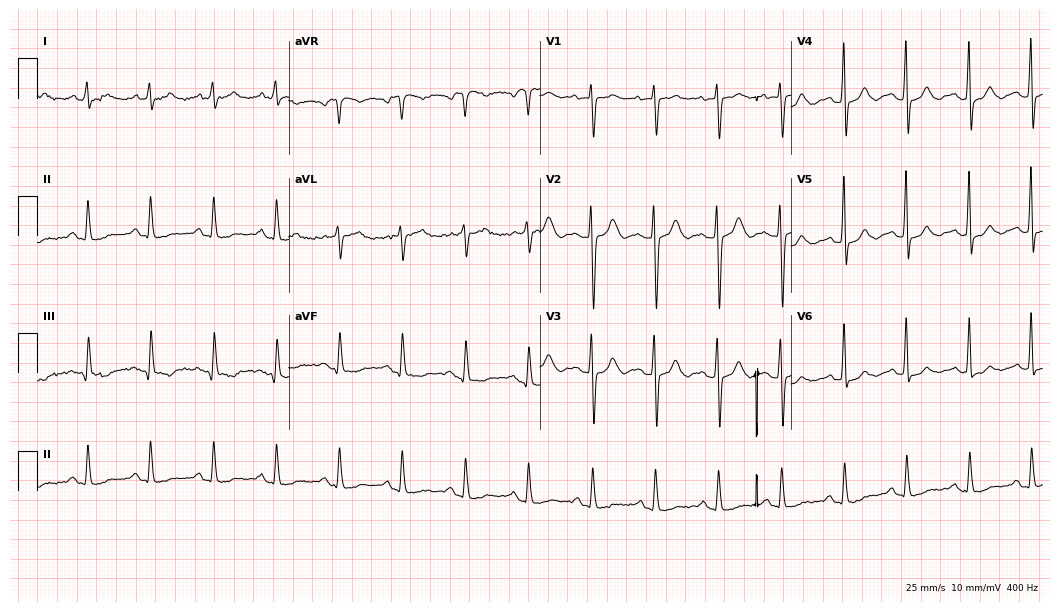
12-lead ECG from an 84-year-old female. Screened for six findings — first-degree AV block, right bundle branch block, left bundle branch block, sinus bradycardia, atrial fibrillation, sinus tachycardia — none is recorded.